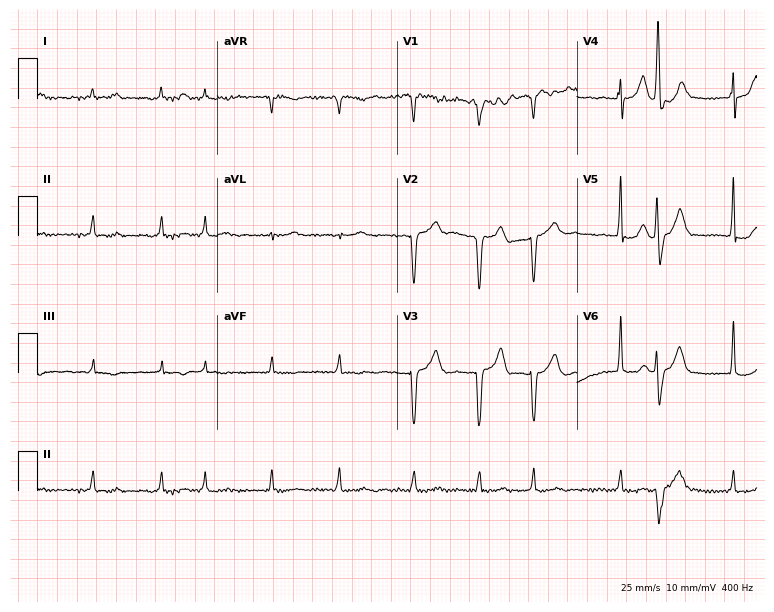
12-lead ECG from a male patient, 67 years old. Findings include atrial fibrillation.